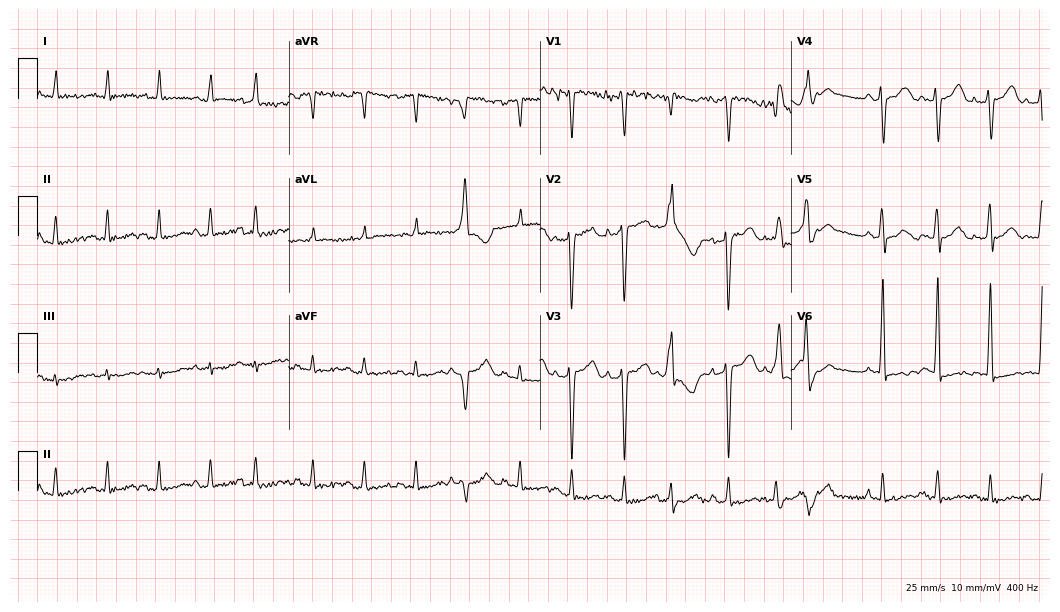
Resting 12-lead electrocardiogram. Patient: a 75-year-old male. The tracing shows sinus tachycardia (a sinus rate of 100 beats per minute or more).